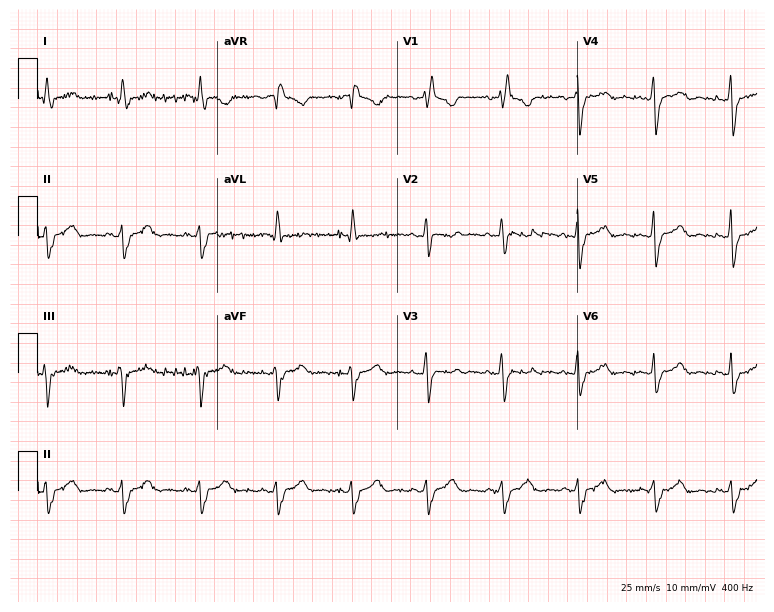
12-lead ECG from a 45-year-old female. Shows right bundle branch block.